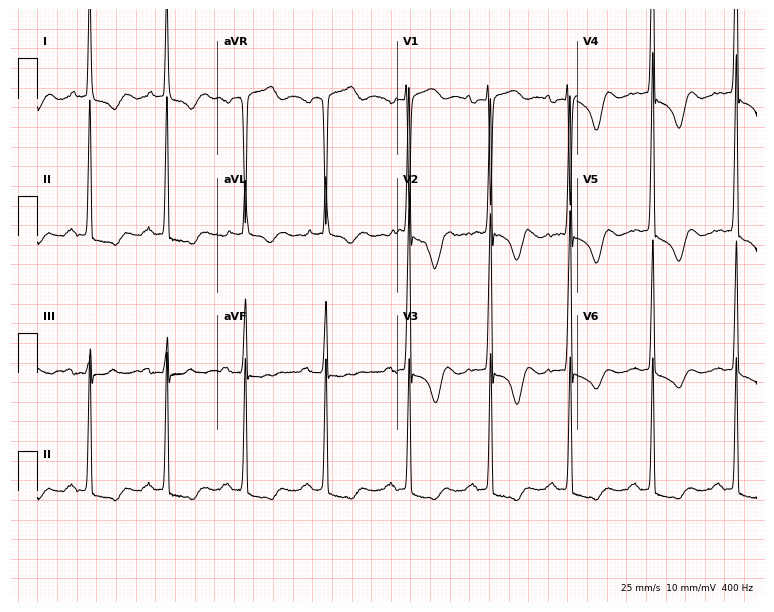
ECG (7.3-second recording at 400 Hz) — a female, 59 years old. Screened for six findings — first-degree AV block, right bundle branch block (RBBB), left bundle branch block (LBBB), sinus bradycardia, atrial fibrillation (AF), sinus tachycardia — none is recorded.